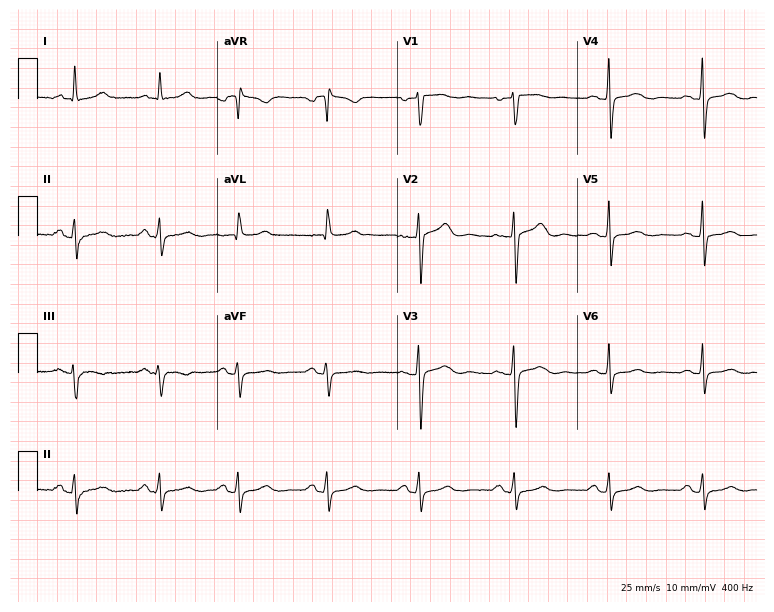
Resting 12-lead electrocardiogram. Patient: a female, 55 years old. None of these six findings is recorded: first-degree AV block, right bundle branch block (RBBB), left bundle branch block (LBBB), sinus bradycardia, atrial fibrillation (AF), sinus tachycardia. Only these six findings were labelled.